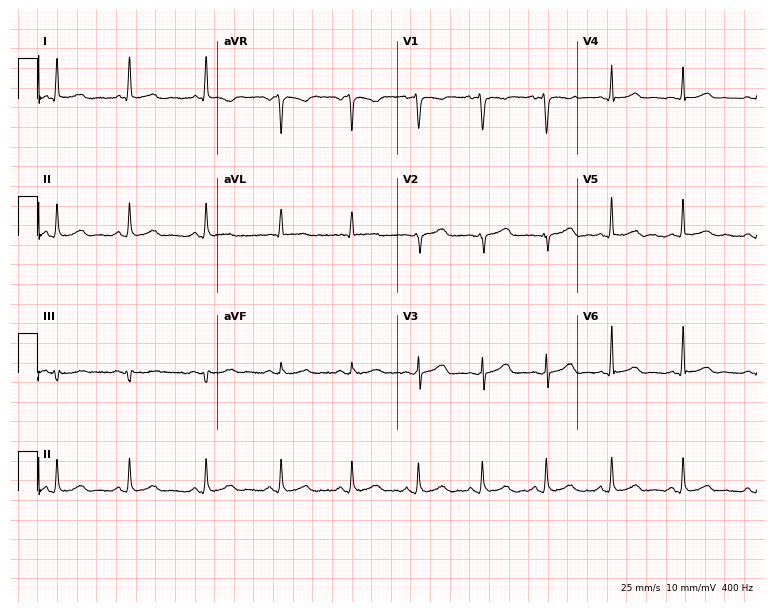
12-lead ECG from a 38-year-old woman (7.3-second recording at 400 Hz). No first-degree AV block, right bundle branch block, left bundle branch block, sinus bradycardia, atrial fibrillation or sinus tachycardia recorded for this tracing.